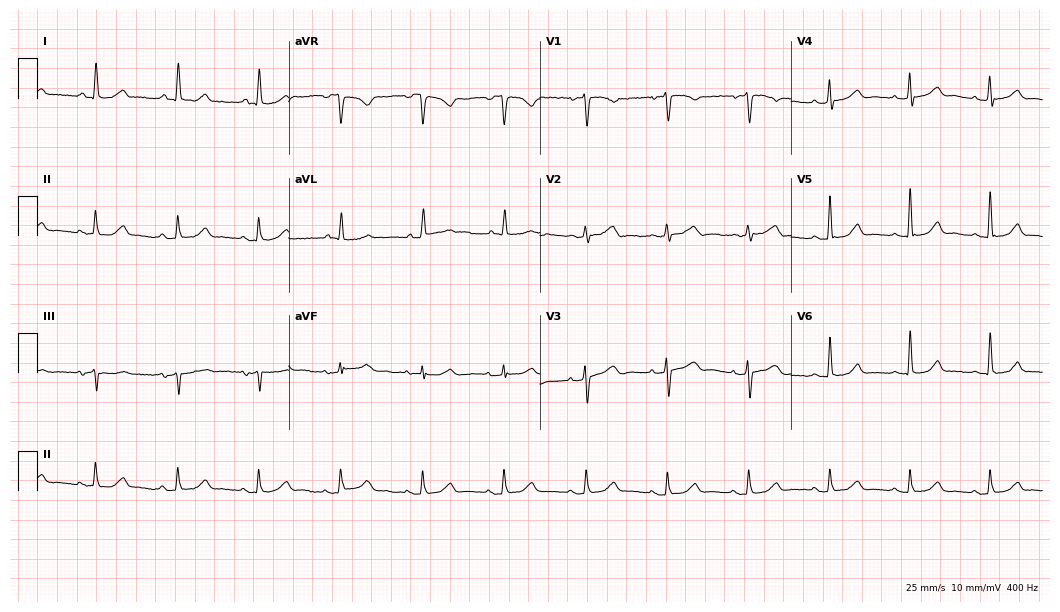
12-lead ECG from a female patient, 69 years old. Screened for six findings — first-degree AV block, right bundle branch block (RBBB), left bundle branch block (LBBB), sinus bradycardia, atrial fibrillation (AF), sinus tachycardia — none is recorded. Findings outside these six are not listed.